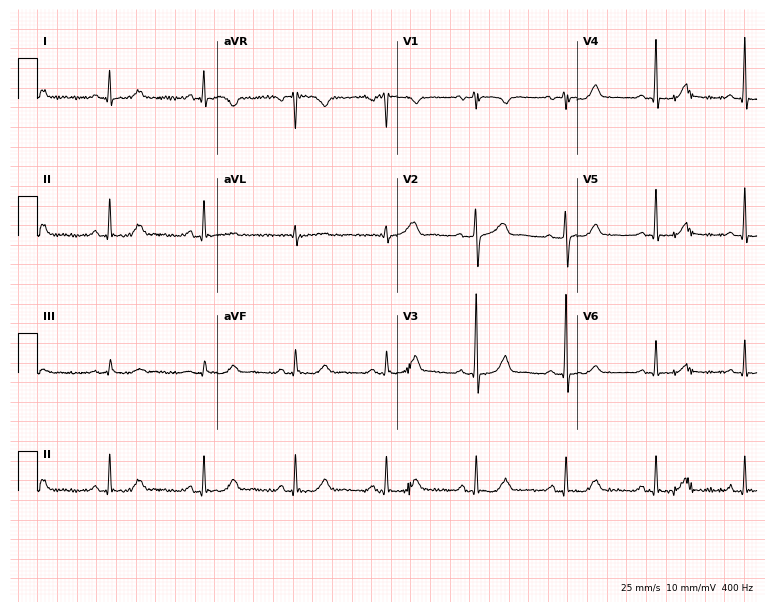
12-lead ECG from a woman, 56 years old. Screened for six findings — first-degree AV block, right bundle branch block, left bundle branch block, sinus bradycardia, atrial fibrillation, sinus tachycardia — none is recorded.